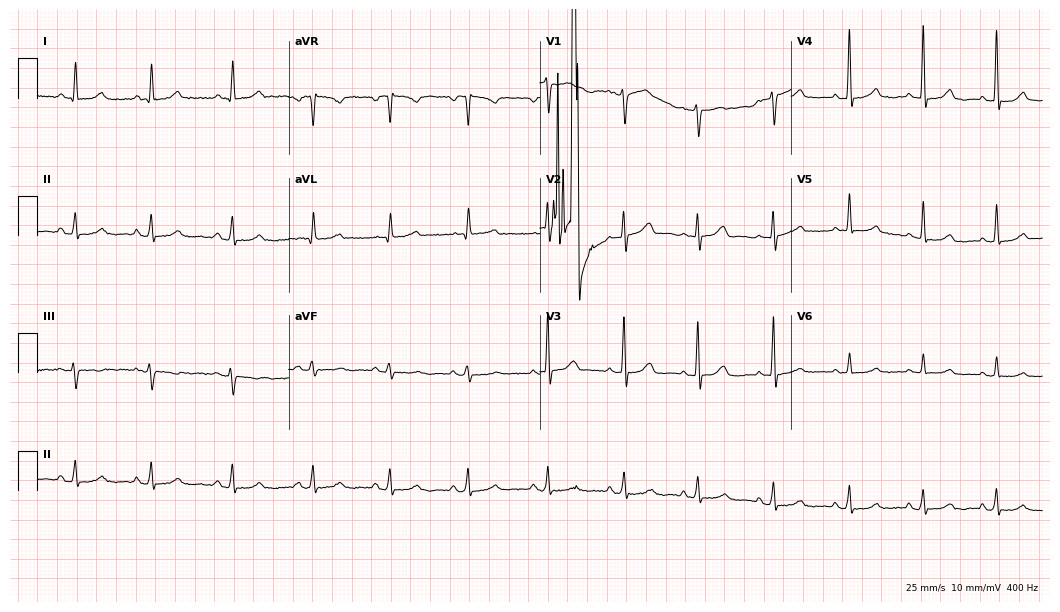
12-lead ECG from a woman, 48 years old. Labelled as a normal ECG.